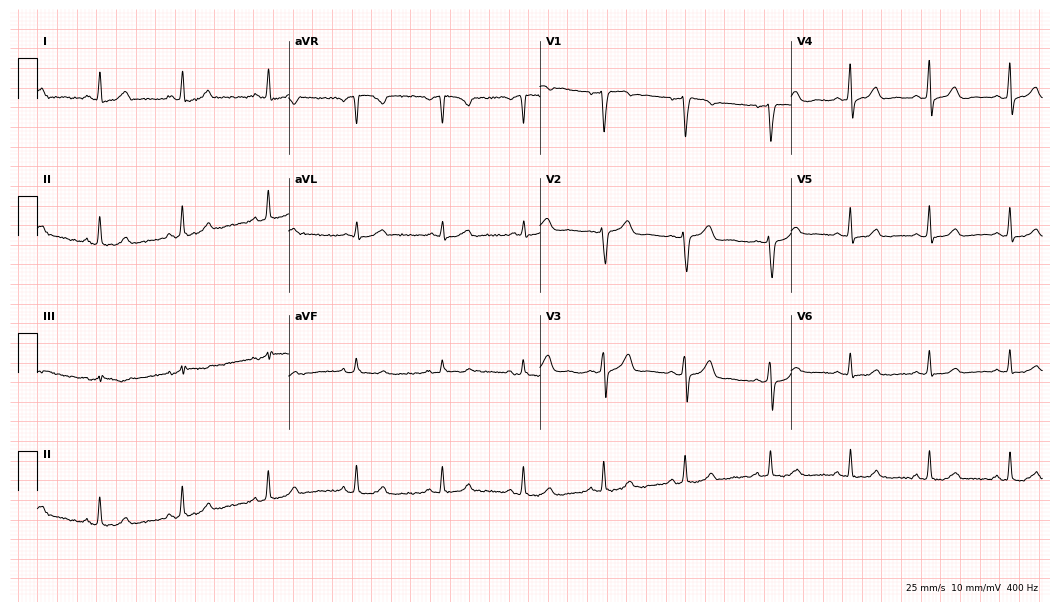
12-lead ECG (10.2-second recording at 400 Hz) from a female patient, 48 years old. Labelled as a normal ECG.